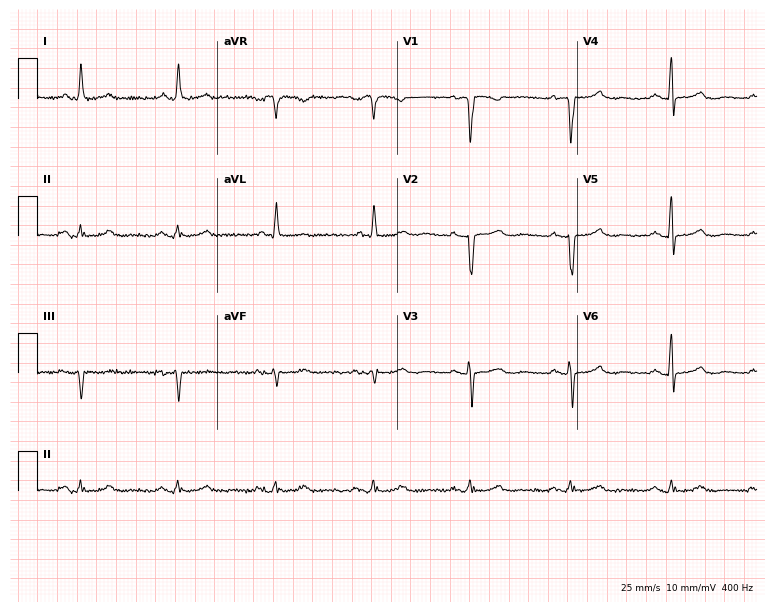
Resting 12-lead electrocardiogram (7.3-second recording at 400 Hz). Patient: a male, 65 years old. Read as a normal ECG.